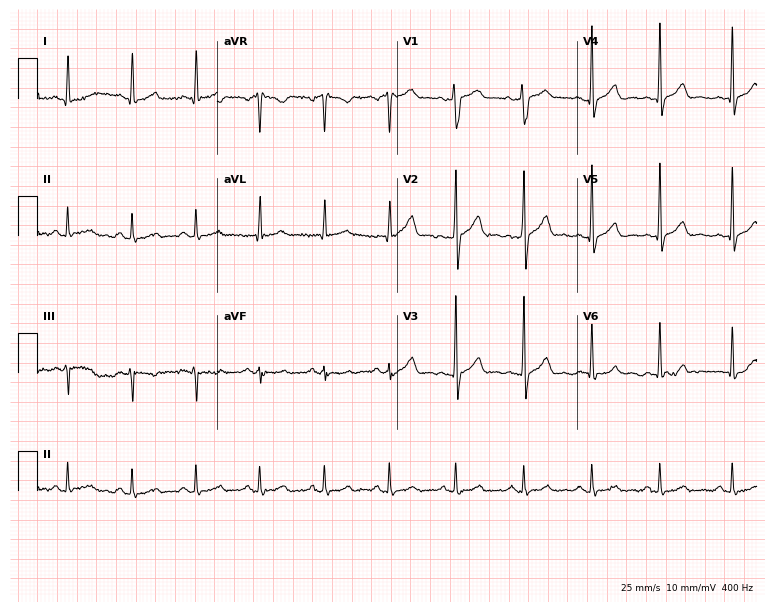
ECG — a 48-year-old man. Screened for six findings — first-degree AV block, right bundle branch block (RBBB), left bundle branch block (LBBB), sinus bradycardia, atrial fibrillation (AF), sinus tachycardia — none is recorded. Other findings, if any, are not listed.